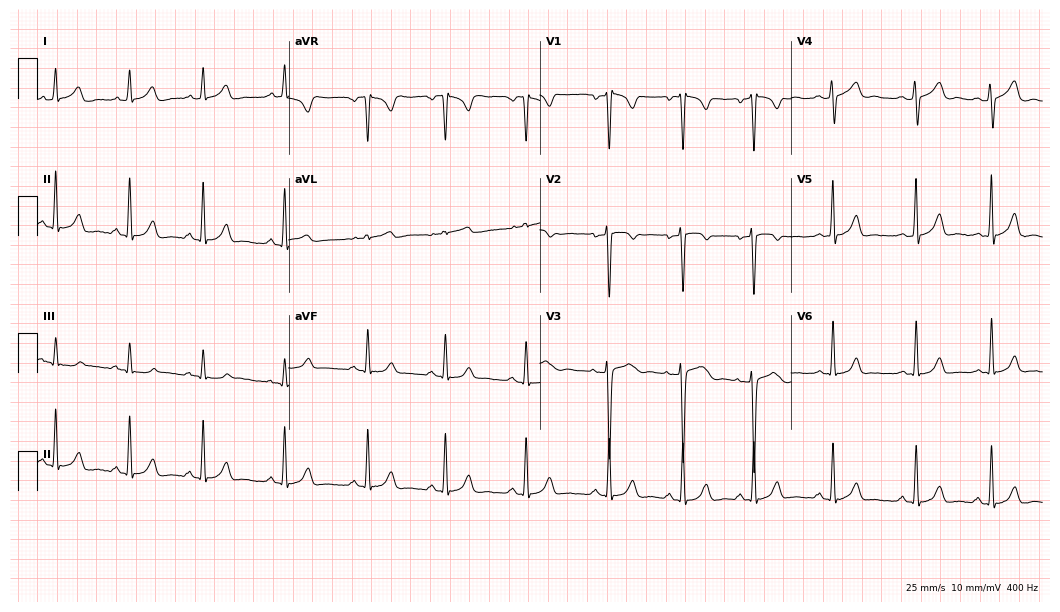
12-lead ECG from a 36-year-old woman. Labelled as a normal ECG.